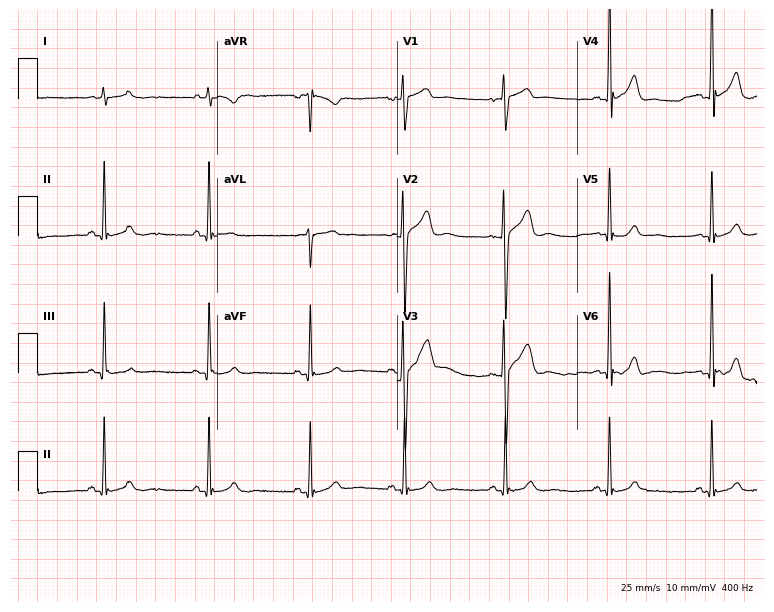
Standard 12-lead ECG recorded from a male, 25 years old. None of these six findings is recorded: first-degree AV block, right bundle branch block, left bundle branch block, sinus bradycardia, atrial fibrillation, sinus tachycardia.